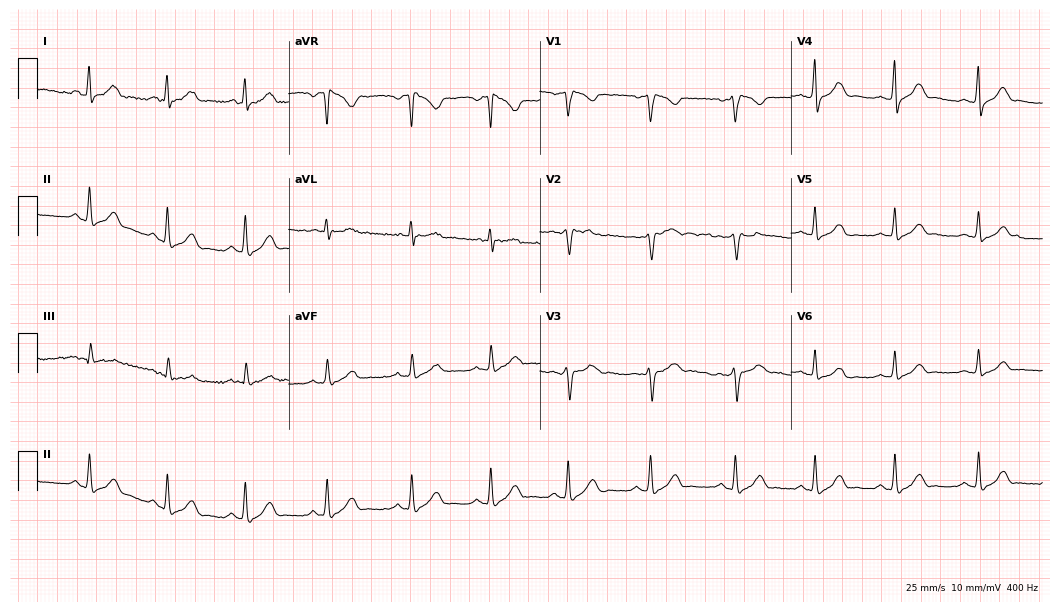
12-lead ECG from a 43-year-old female patient (10.2-second recording at 400 Hz). No first-degree AV block, right bundle branch block (RBBB), left bundle branch block (LBBB), sinus bradycardia, atrial fibrillation (AF) or sinus tachycardia recorded for this tracing.